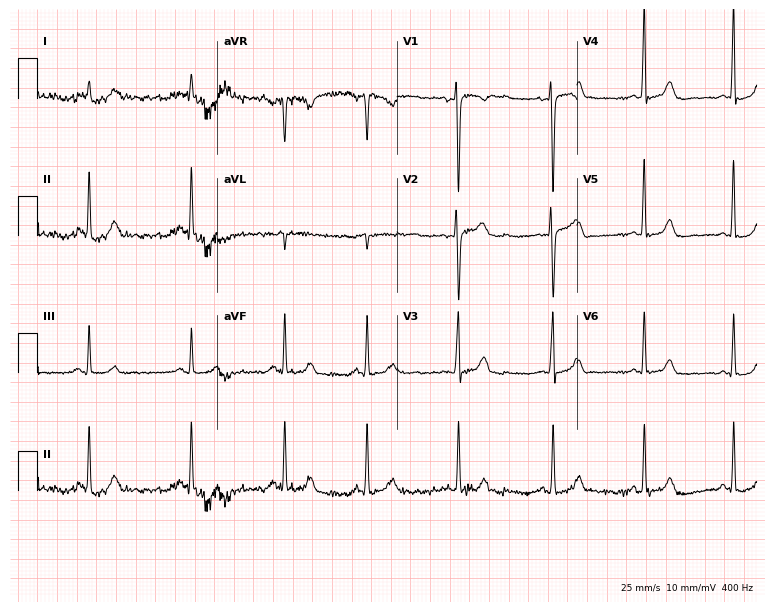
Standard 12-lead ECG recorded from a 41-year-old female patient. Read as a normal ECG.